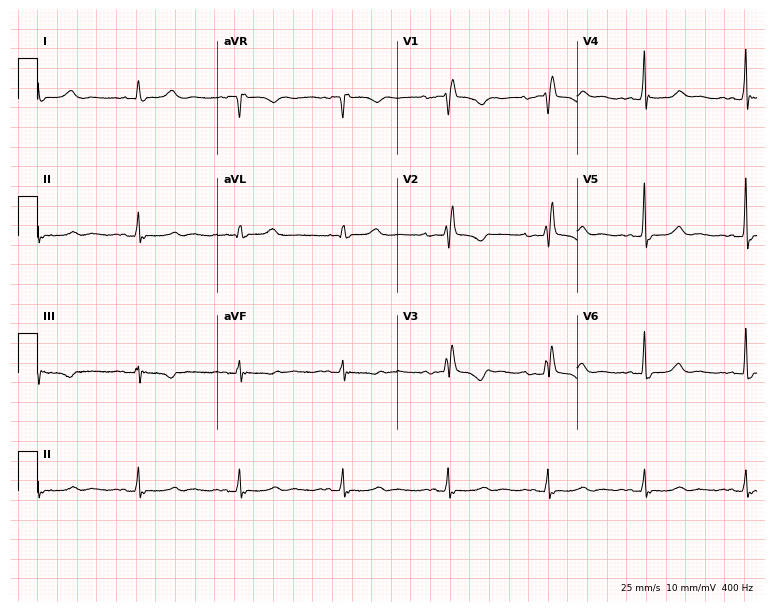
ECG — a female, 60 years old. Findings include first-degree AV block, right bundle branch block (RBBB).